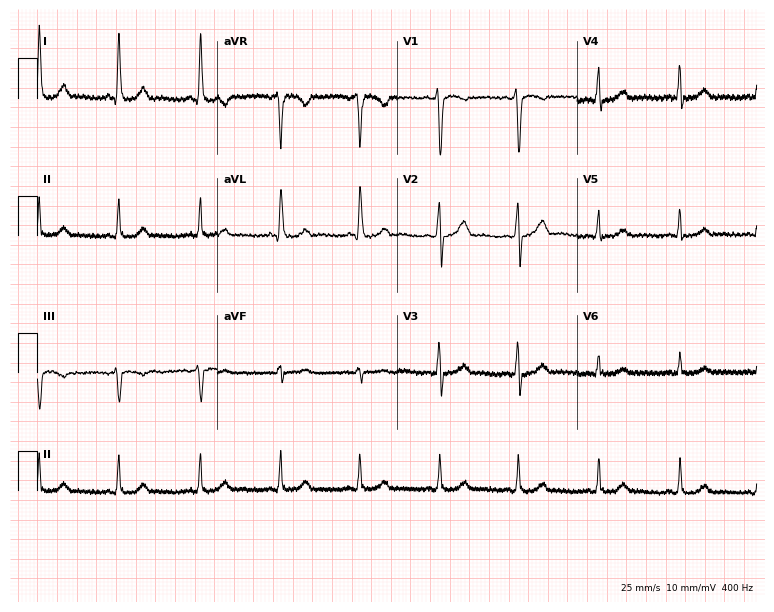
12-lead ECG from a woman, 54 years old (7.3-second recording at 400 Hz). Recorded interpretation: within normal limits.